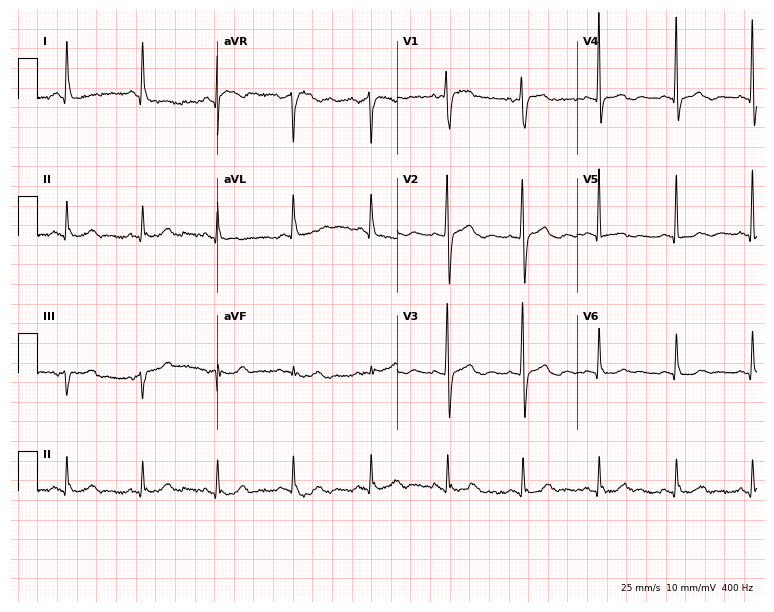
Standard 12-lead ECG recorded from a 60-year-old woman (7.3-second recording at 400 Hz). Read as a normal ECG.